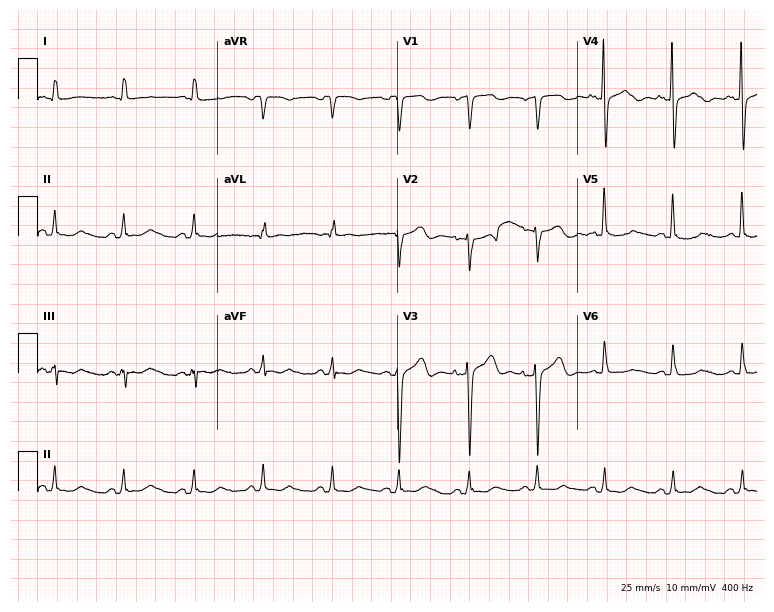
ECG (7.3-second recording at 400 Hz) — a female patient, 46 years old. Screened for six findings — first-degree AV block, right bundle branch block, left bundle branch block, sinus bradycardia, atrial fibrillation, sinus tachycardia — none is recorded. Only these six findings were labelled.